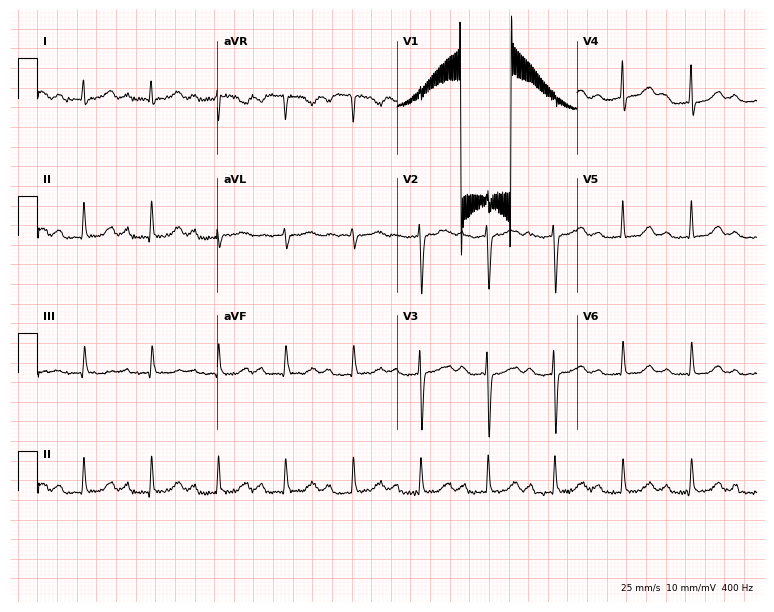
Standard 12-lead ECG recorded from a female patient, 37 years old. None of these six findings is recorded: first-degree AV block, right bundle branch block (RBBB), left bundle branch block (LBBB), sinus bradycardia, atrial fibrillation (AF), sinus tachycardia. Findings outside these six are not listed.